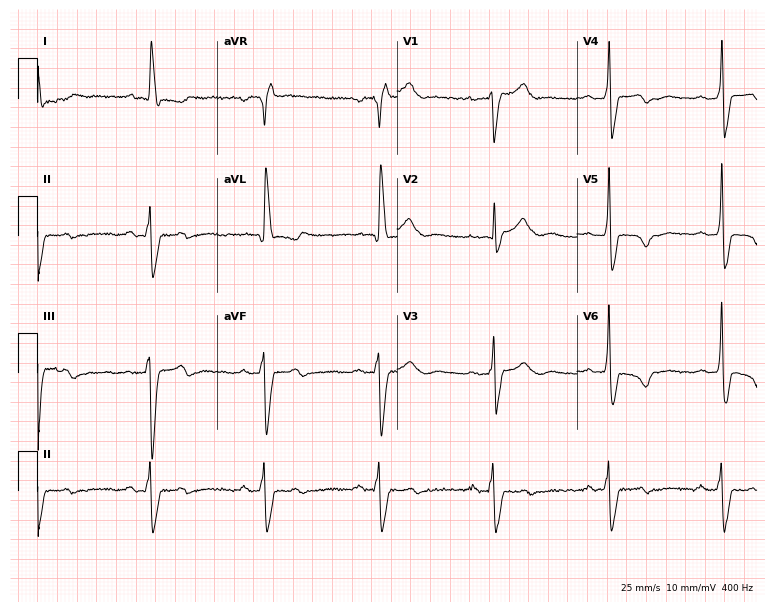
12-lead ECG (7.3-second recording at 400 Hz) from a 76-year-old woman. Screened for six findings — first-degree AV block, right bundle branch block, left bundle branch block, sinus bradycardia, atrial fibrillation, sinus tachycardia — none is recorded.